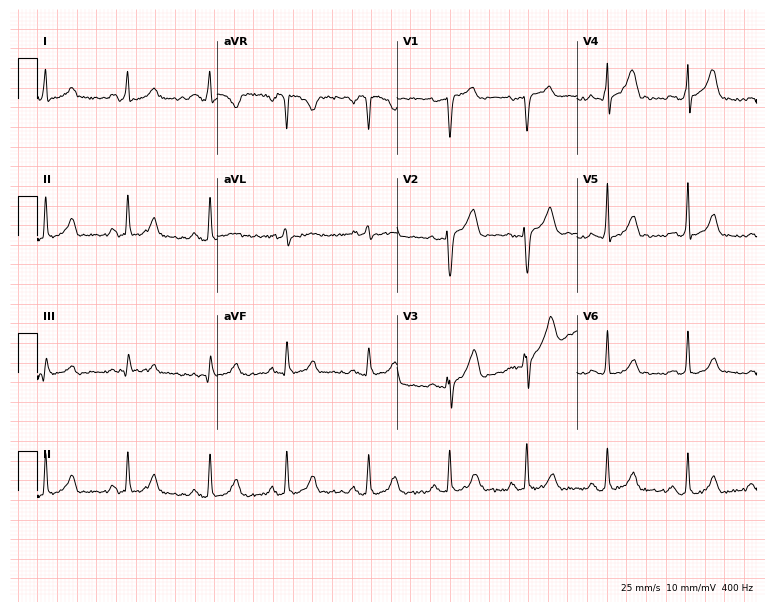
Electrocardiogram, a 43-year-old female patient. Of the six screened findings (first-degree AV block, right bundle branch block, left bundle branch block, sinus bradycardia, atrial fibrillation, sinus tachycardia), none is recorded. Only these six findings were labelled.